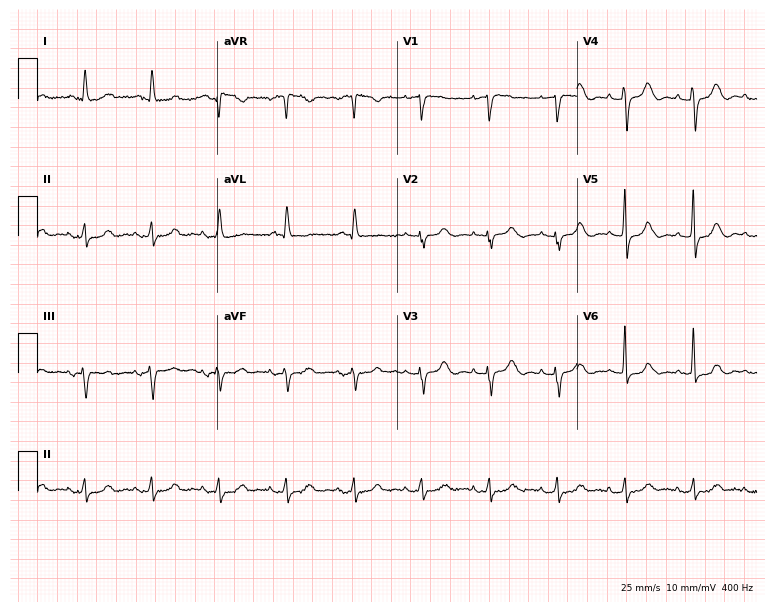
Electrocardiogram (7.3-second recording at 400 Hz), a female patient, 77 years old. Of the six screened findings (first-degree AV block, right bundle branch block (RBBB), left bundle branch block (LBBB), sinus bradycardia, atrial fibrillation (AF), sinus tachycardia), none is recorded.